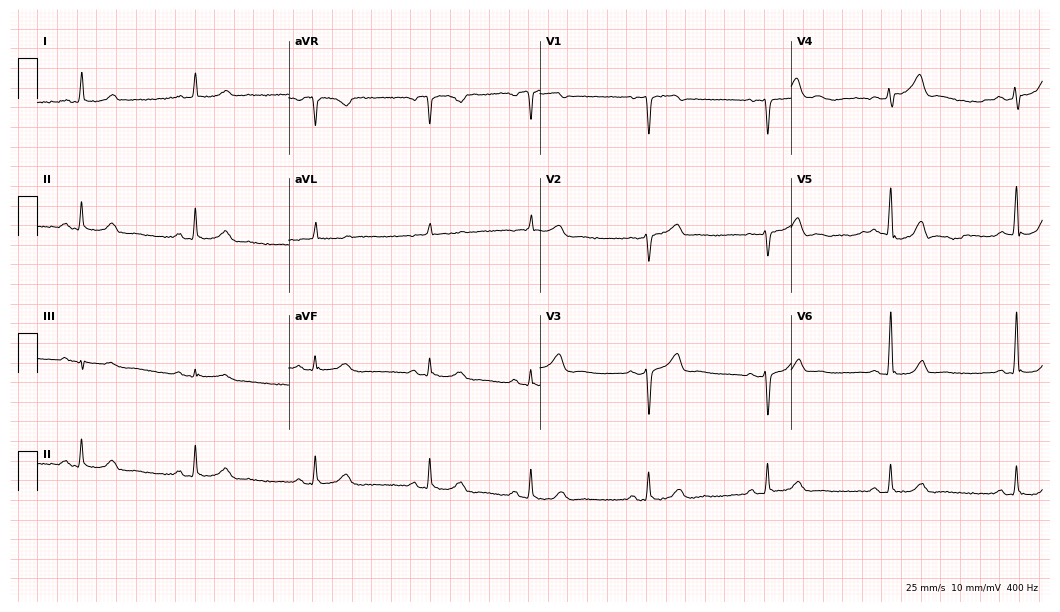
Standard 12-lead ECG recorded from a female, 54 years old (10.2-second recording at 400 Hz). Read as a normal ECG.